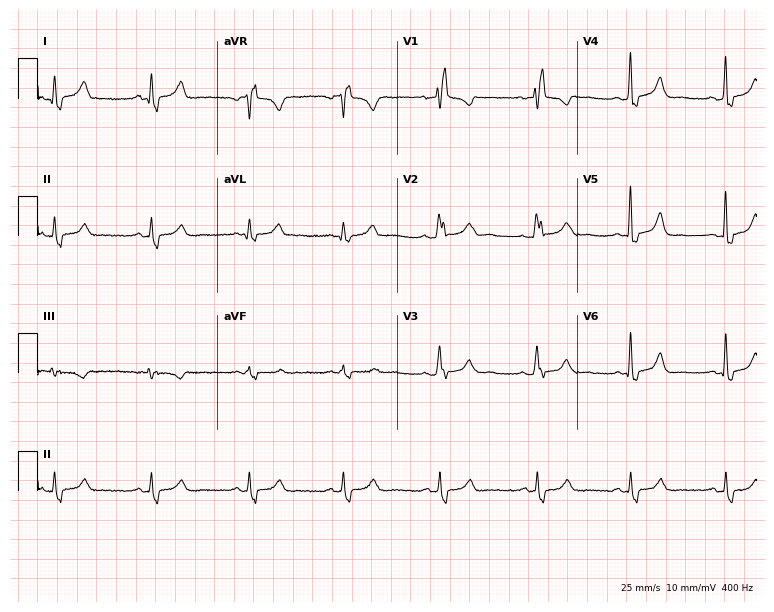
Resting 12-lead electrocardiogram. Patient: a female, 46 years old. The tracing shows right bundle branch block.